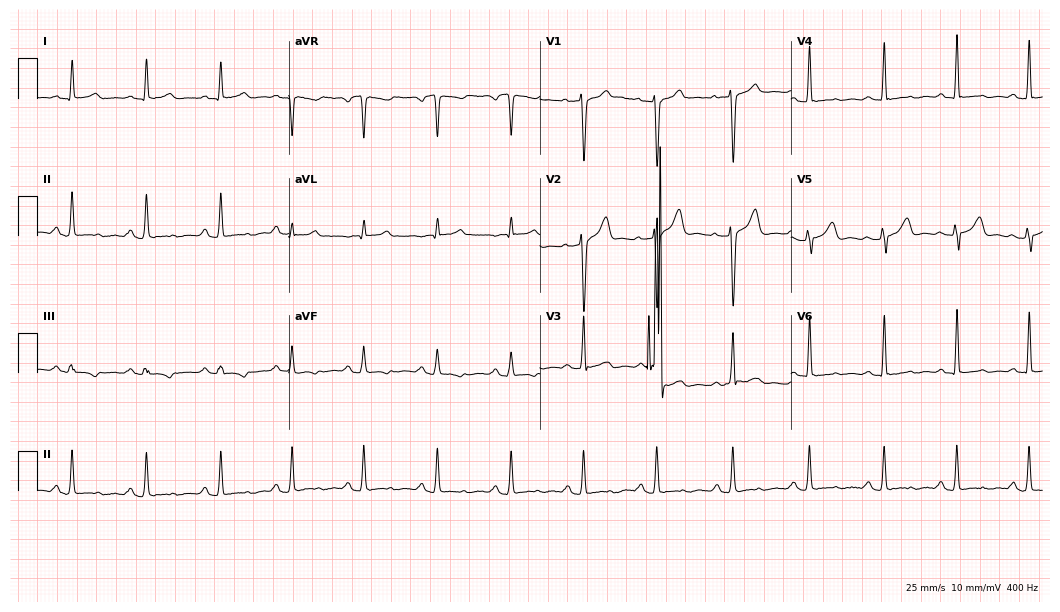
Electrocardiogram (10.2-second recording at 400 Hz), a 29-year-old male. Of the six screened findings (first-degree AV block, right bundle branch block, left bundle branch block, sinus bradycardia, atrial fibrillation, sinus tachycardia), none is recorded.